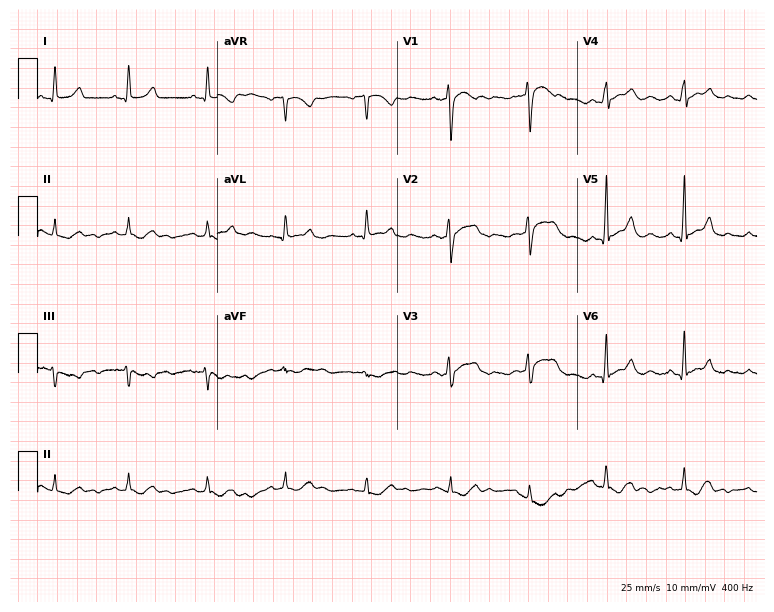
Electrocardiogram, a female, 36 years old. Of the six screened findings (first-degree AV block, right bundle branch block, left bundle branch block, sinus bradycardia, atrial fibrillation, sinus tachycardia), none is recorded. Only these six findings were labelled.